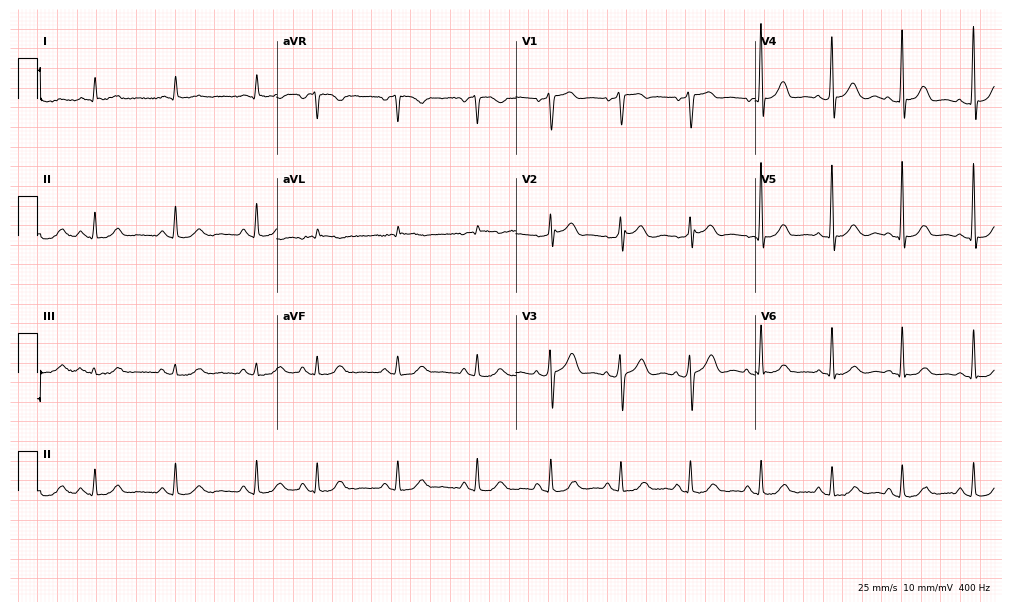
12-lead ECG from a 75-year-old male (9.8-second recording at 400 Hz). No first-degree AV block, right bundle branch block, left bundle branch block, sinus bradycardia, atrial fibrillation or sinus tachycardia recorded for this tracing. Only these six findings were labelled.